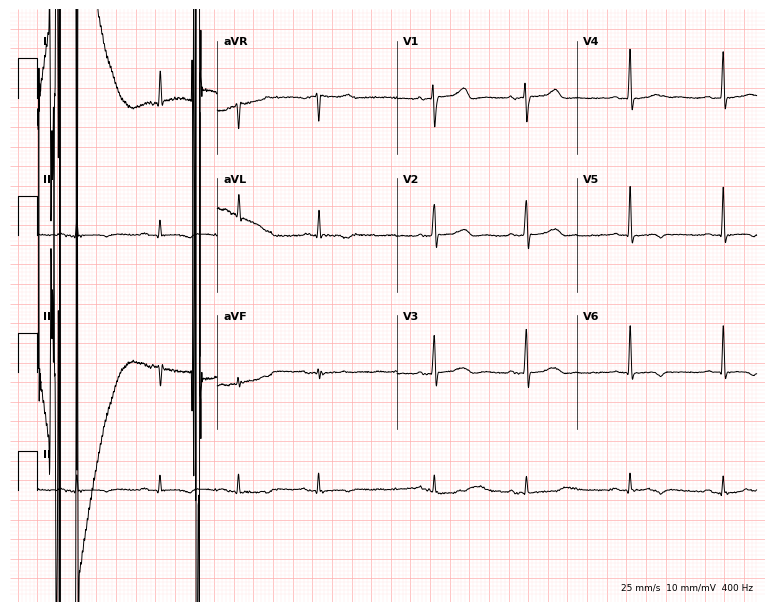
12-lead ECG (7.3-second recording at 400 Hz) from an 84-year-old man. Screened for six findings — first-degree AV block, right bundle branch block, left bundle branch block, sinus bradycardia, atrial fibrillation, sinus tachycardia — none is recorded. Only these six findings were labelled.